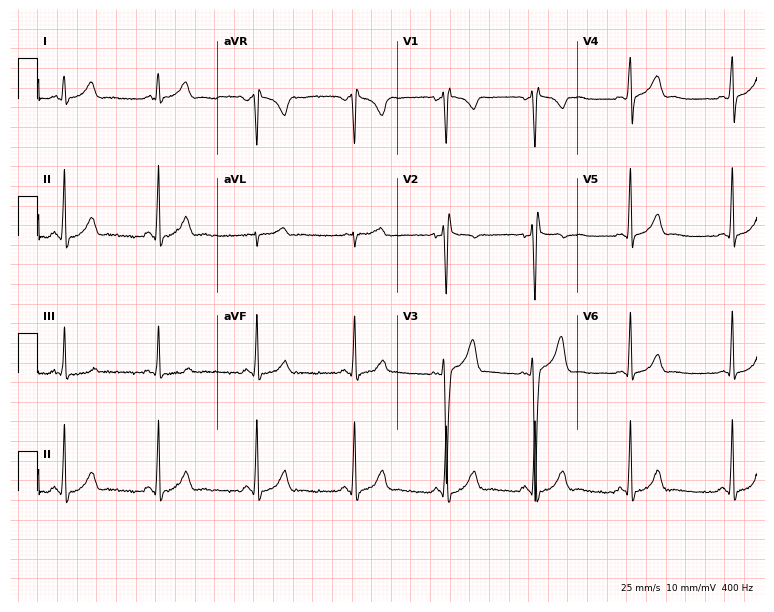
Resting 12-lead electrocardiogram. Patient: a male, 17 years old. Read as a normal ECG.